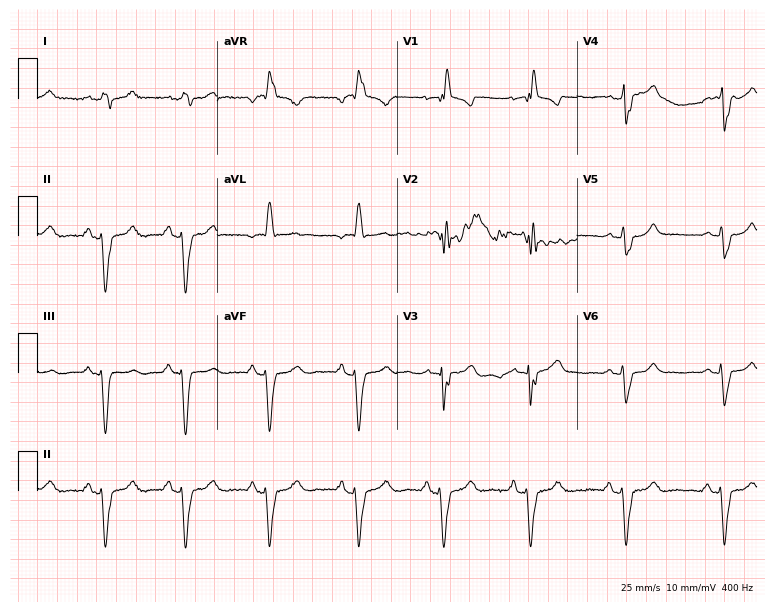
12-lead ECG (7.3-second recording at 400 Hz) from a woman, 79 years old. Findings include right bundle branch block.